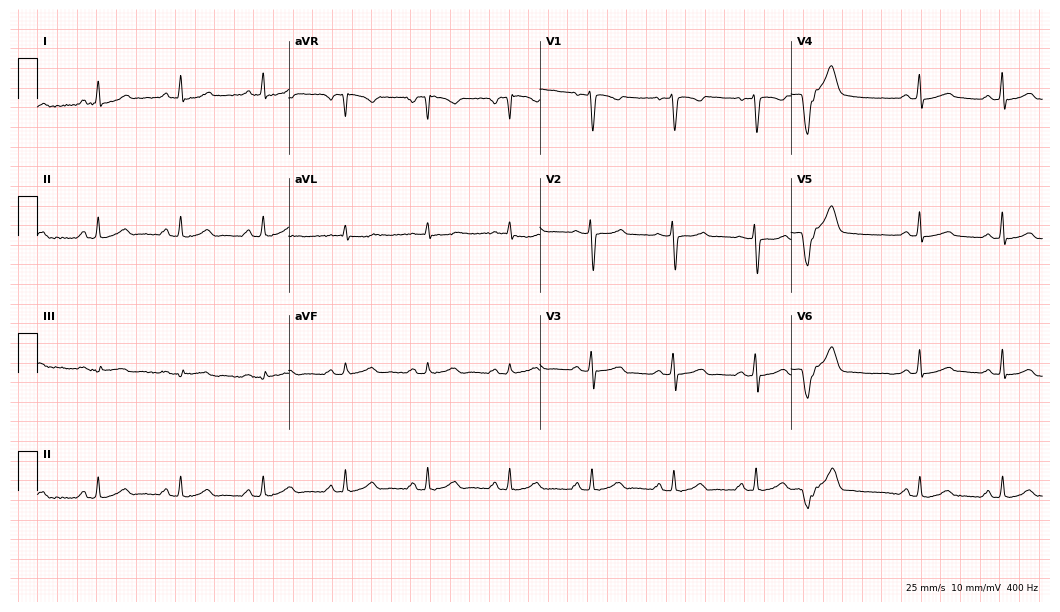
12-lead ECG (10.2-second recording at 400 Hz) from a female patient, 70 years old. Labelled as a normal ECG.